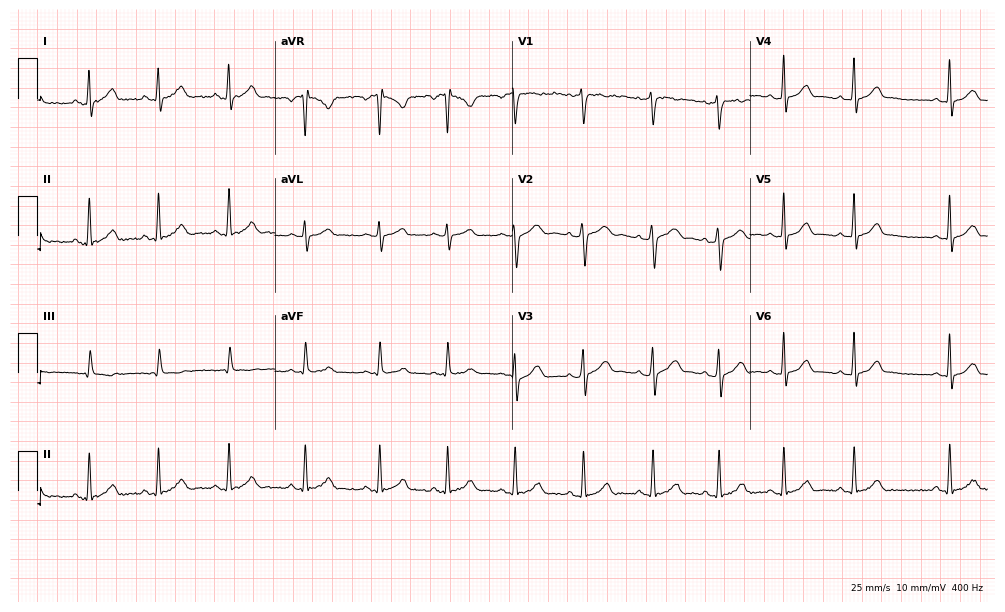
Standard 12-lead ECG recorded from a woman, 20 years old. Read as a normal ECG.